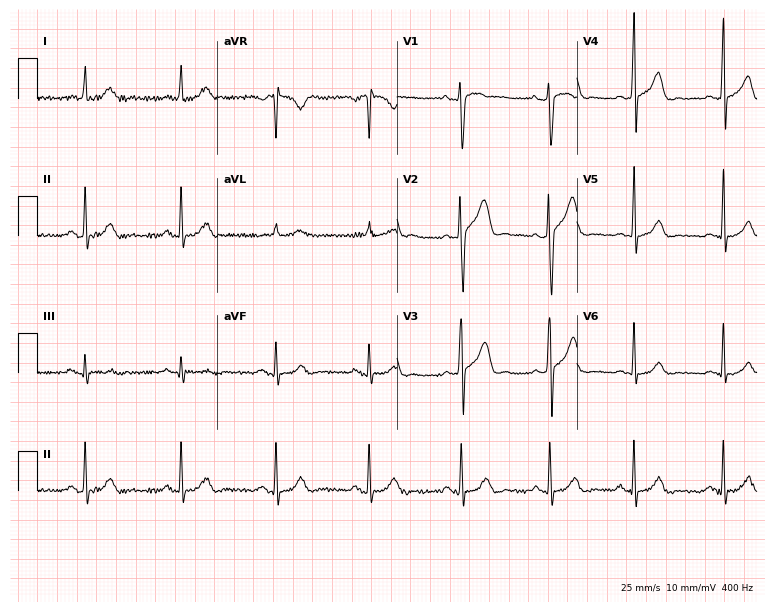
12-lead ECG from a 29-year-old male. Screened for six findings — first-degree AV block, right bundle branch block, left bundle branch block, sinus bradycardia, atrial fibrillation, sinus tachycardia — none is recorded. Other findings, if any, are not listed.